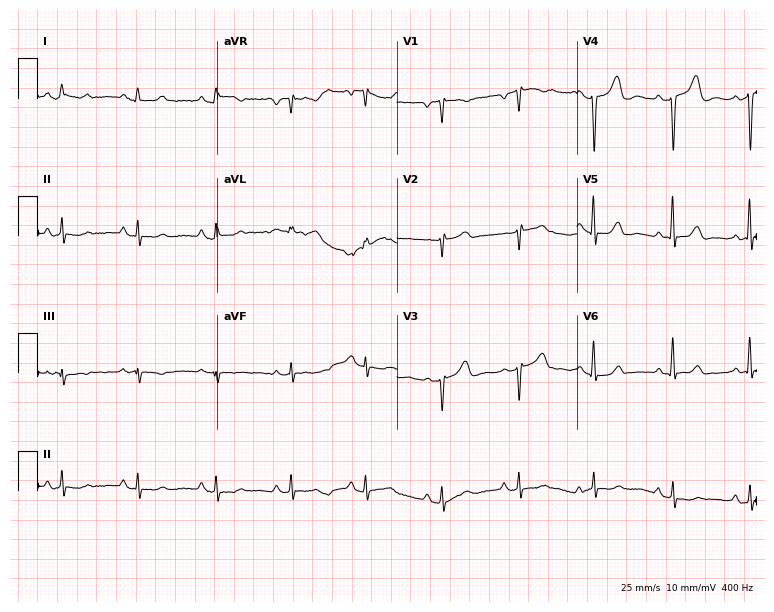
12-lead ECG from a 40-year-old female patient. Screened for six findings — first-degree AV block, right bundle branch block, left bundle branch block, sinus bradycardia, atrial fibrillation, sinus tachycardia — none is recorded. Findings outside these six are not listed.